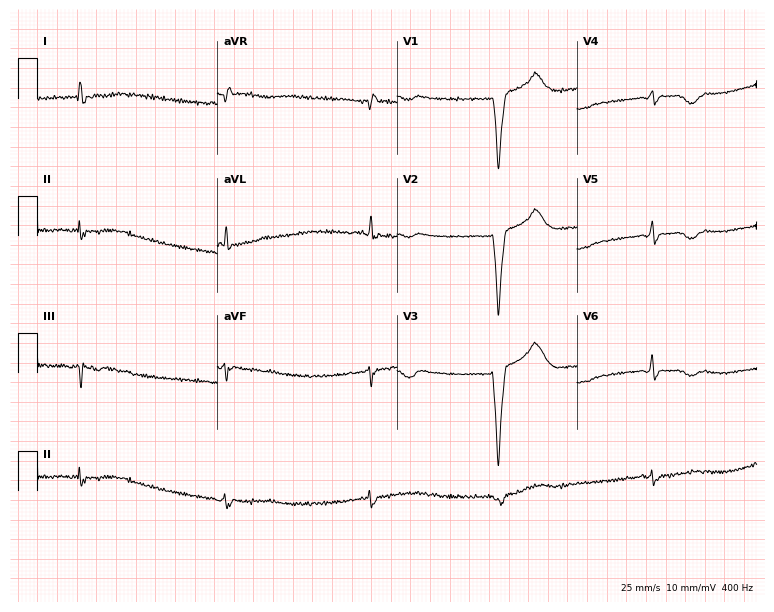
Resting 12-lead electrocardiogram (7.3-second recording at 400 Hz). Patient: a female, 77 years old. None of these six findings is recorded: first-degree AV block, right bundle branch block, left bundle branch block, sinus bradycardia, atrial fibrillation, sinus tachycardia. Only these six findings were labelled.